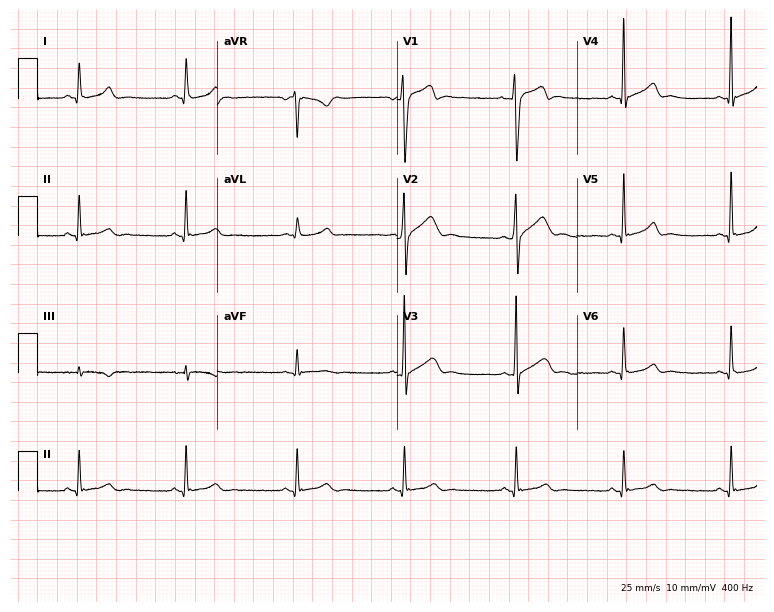
ECG — a 23-year-old male. Screened for six findings — first-degree AV block, right bundle branch block (RBBB), left bundle branch block (LBBB), sinus bradycardia, atrial fibrillation (AF), sinus tachycardia — none is recorded.